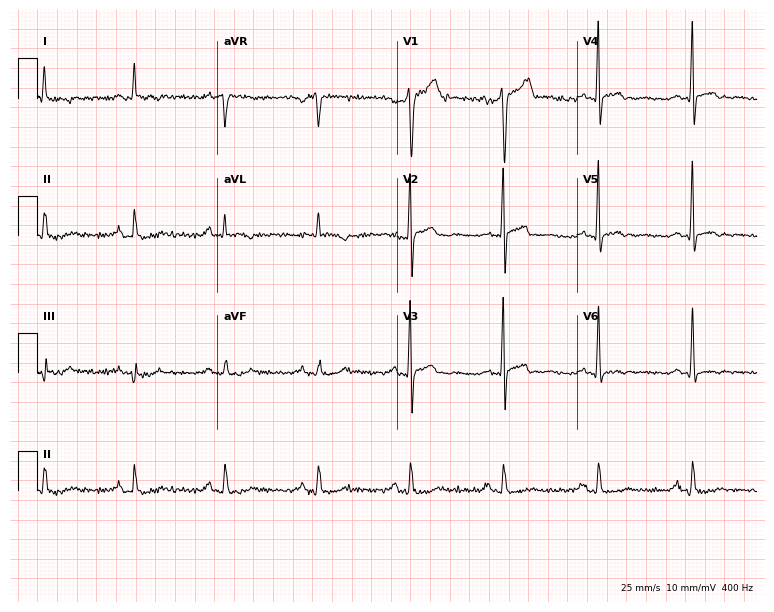
Electrocardiogram, a 58-year-old man. Of the six screened findings (first-degree AV block, right bundle branch block, left bundle branch block, sinus bradycardia, atrial fibrillation, sinus tachycardia), none is recorded. Findings outside these six are not listed.